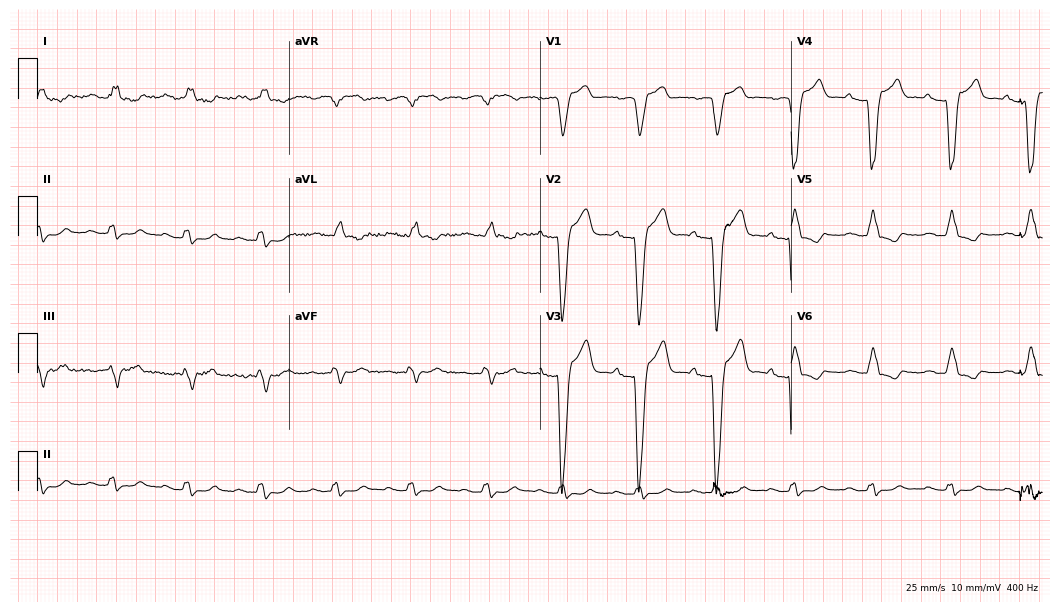
12-lead ECG (10.2-second recording at 400 Hz) from a male patient, 59 years old. Screened for six findings — first-degree AV block, right bundle branch block, left bundle branch block, sinus bradycardia, atrial fibrillation, sinus tachycardia — none is recorded.